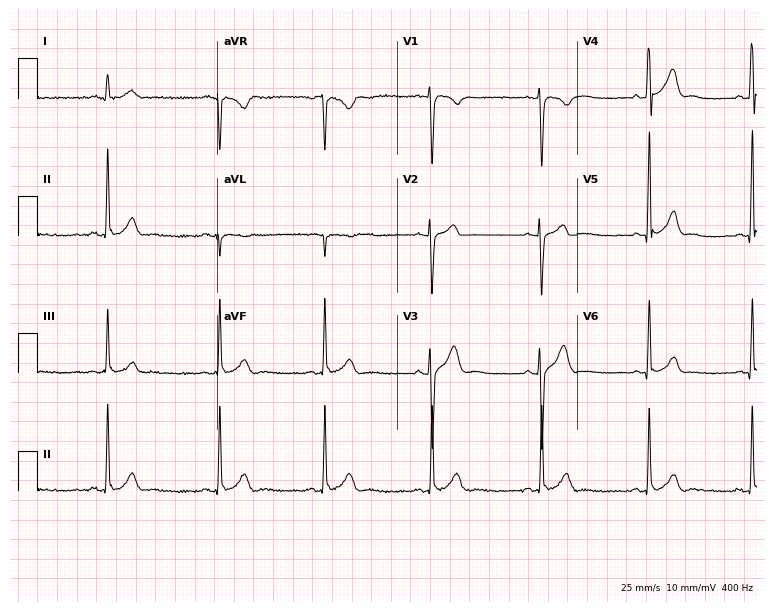
ECG (7.3-second recording at 400 Hz) — a male patient, 30 years old. Labelled as a normal ECG.